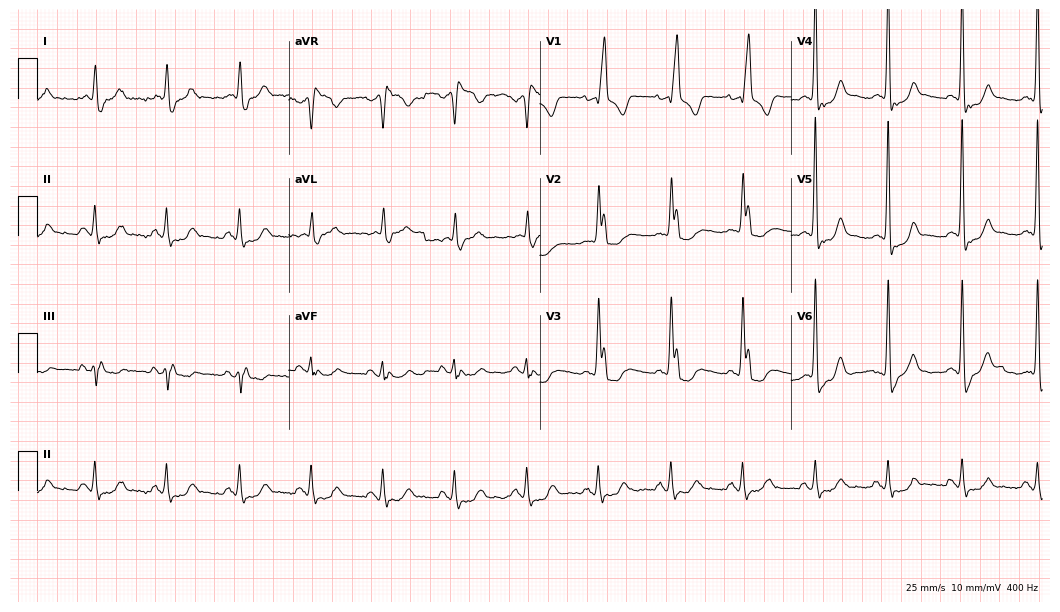
12-lead ECG from a male patient, 83 years old. Screened for six findings — first-degree AV block, right bundle branch block, left bundle branch block, sinus bradycardia, atrial fibrillation, sinus tachycardia — none is recorded.